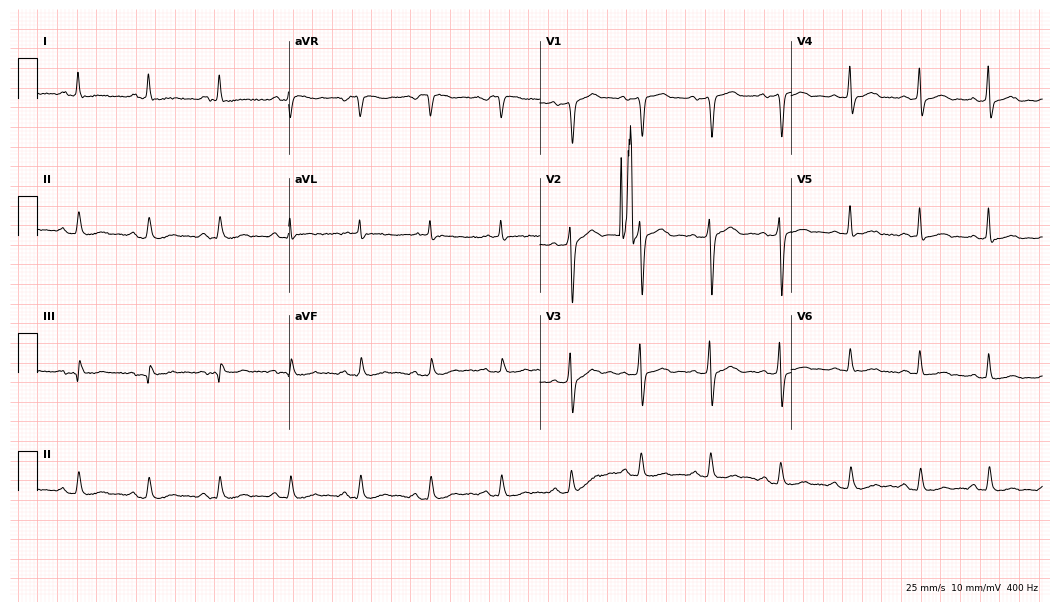
ECG — a male, 72 years old. Screened for six findings — first-degree AV block, right bundle branch block (RBBB), left bundle branch block (LBBB), sinus bradycardia, atrial fibrillation (AF), sinus tachycardia — none is recorded.